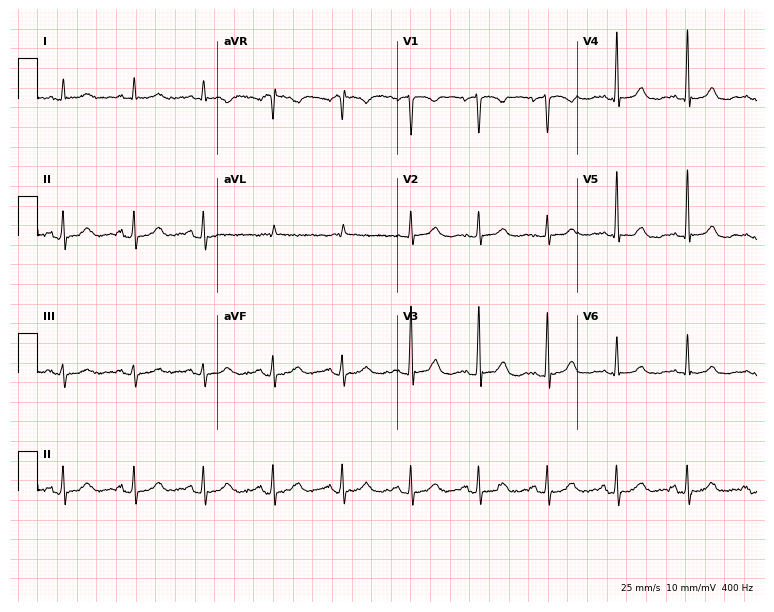
Standard 12-lead ECG recorded from a male patient, 83 years old (7.3-second recording at 400 Hz). Read as a normal ECG.